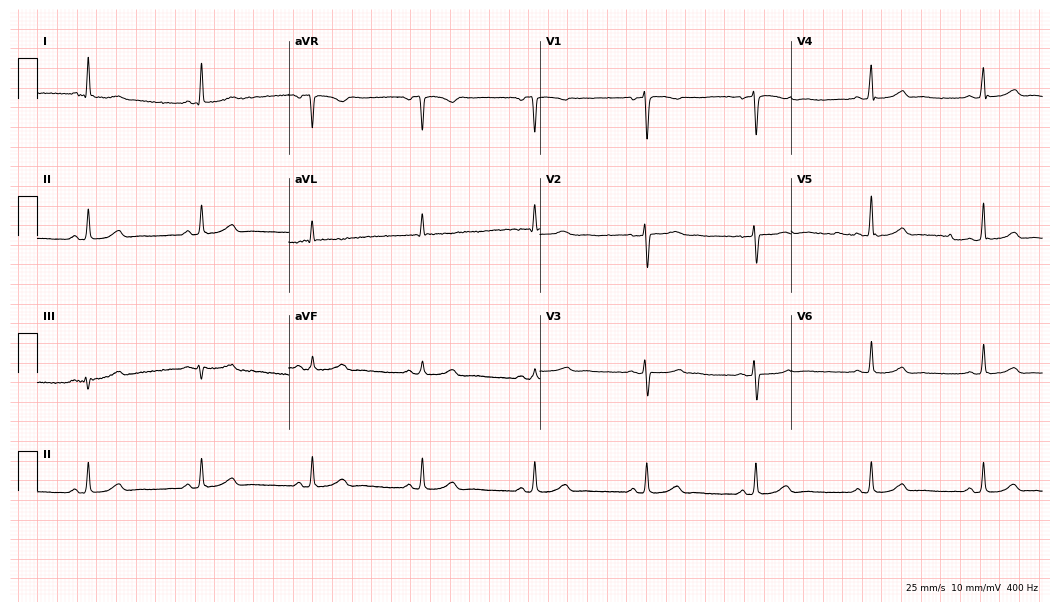
Resting 12-lead electrocardiogram. Patient: a woman, 43 years old. Read as a normal ECG.